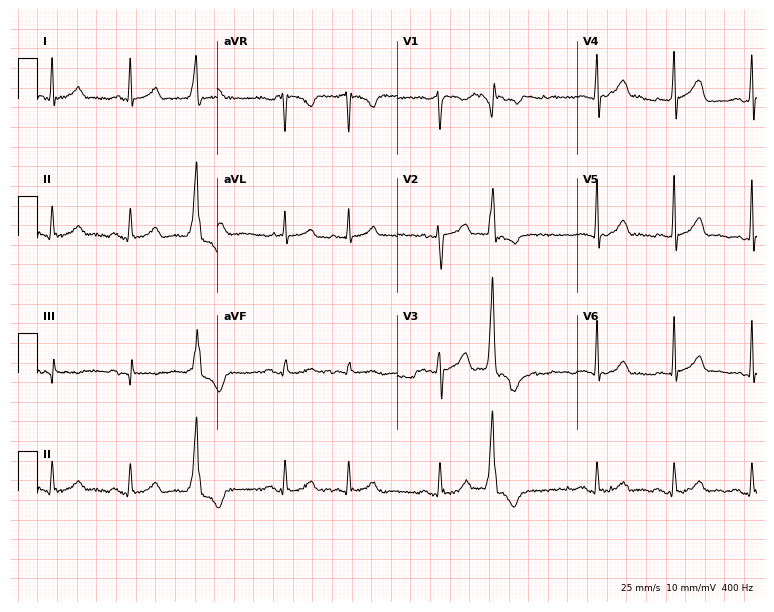
12-lead ECG from a 63-year-old male (7.3-second recording at 400 Hz). Recorded interpretation: within normal limits.